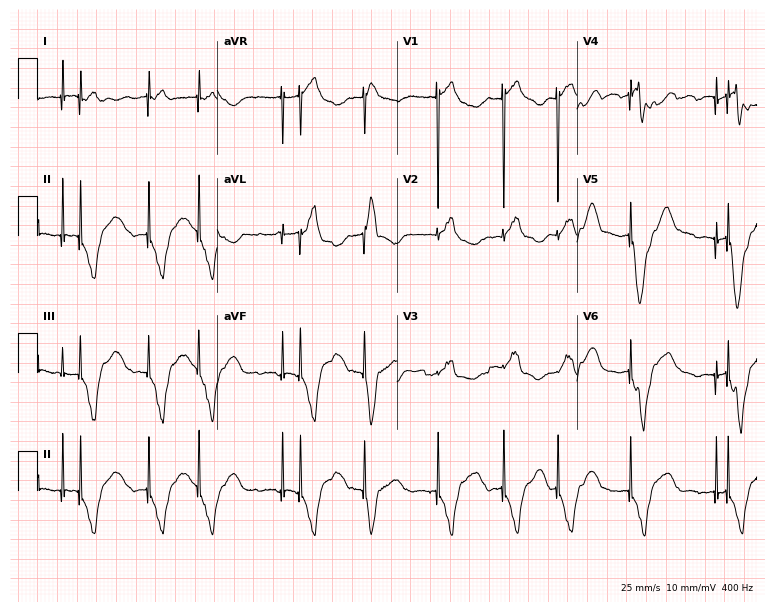
12-lead ECG (7.3-second recording at 400 Hz) from a man, 62 years old. Screened for six findings — first-degree AV block, right bundle branch block (RBBB), left bundle branch block (LBBB), sinus bradycardia, atrial fibrillation (AF), sinus tachycardia — none is recorded.